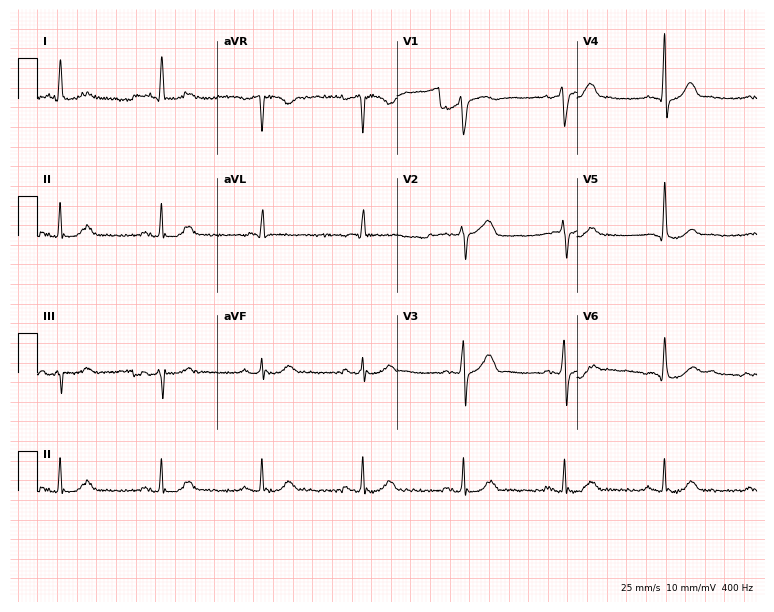
Resting 12-lead electrocardiogram (7.3-second recording at 400 Hz). Patient: a male, 78 years old. Read as a normal ECG.